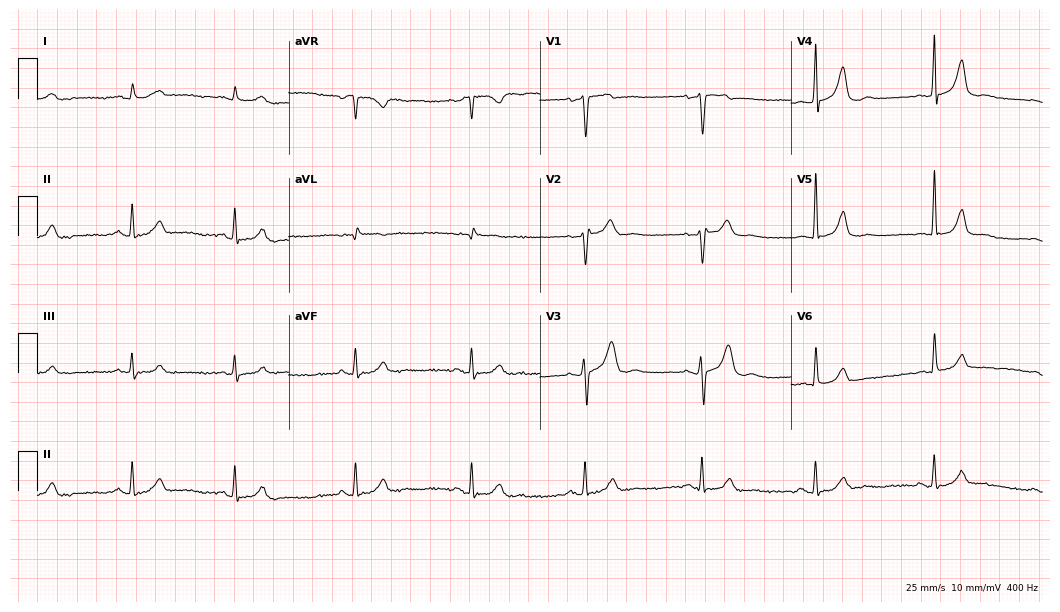
Standard 12-lead ECG recorded from a 72-year-old male. None of these six findings is recorded: first-degree AV block, right bundle branch block, left bundle branch block, sinus bradycardia, atrial fibrillation, sinus tachycardia. Findings outside these six are not listed.